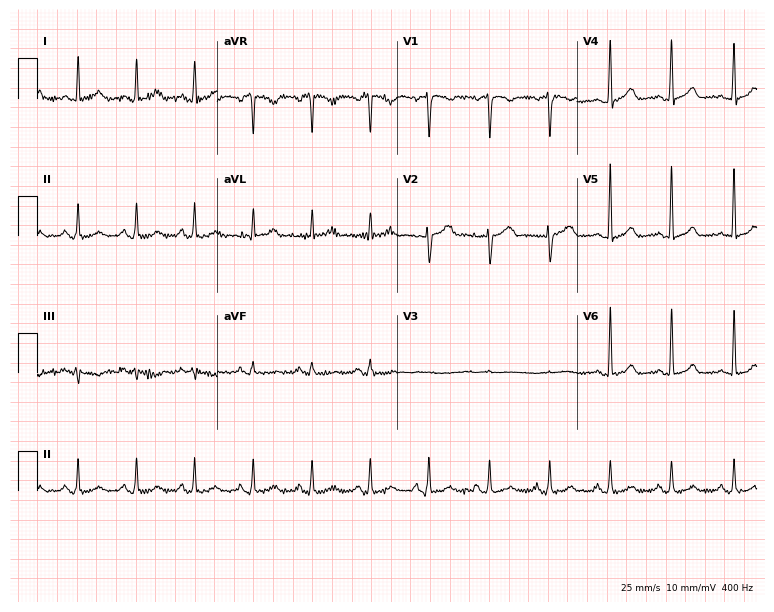
12-lead ECG from a female patient, 51 years old (7.3-second recording at 400 Hz). Recorded interpretation: within normal limits.